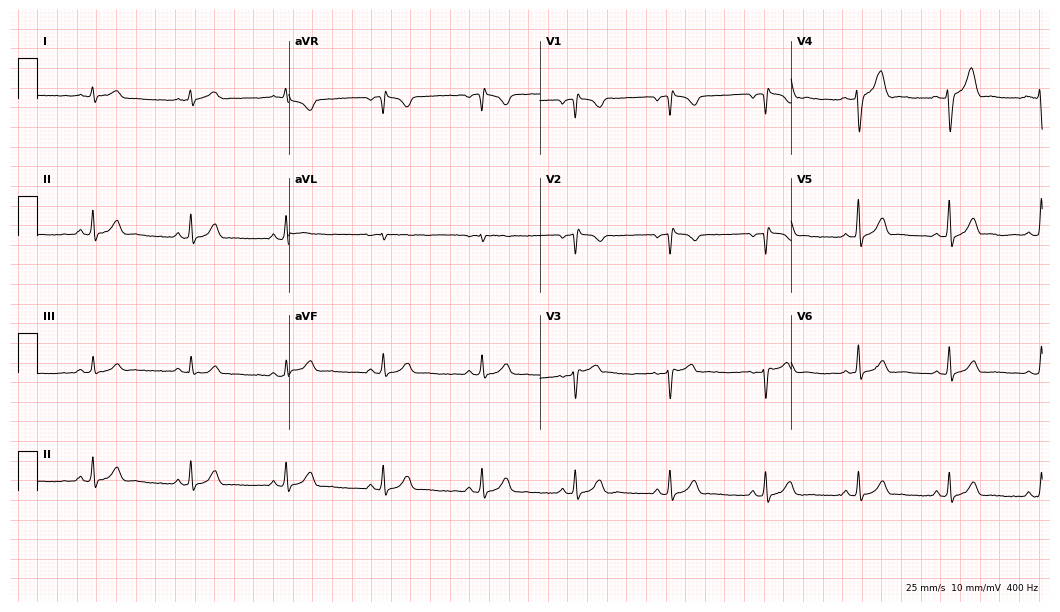
12-lead ECG from a 39-year-old male patient. Screened for six findings — first-degree AV block, right bundle branch block, left bundle branch block, sinus bradycardia, atrial fibrillation, sinus tachycardia — none is recorded. Other findings, if any, are not listed.